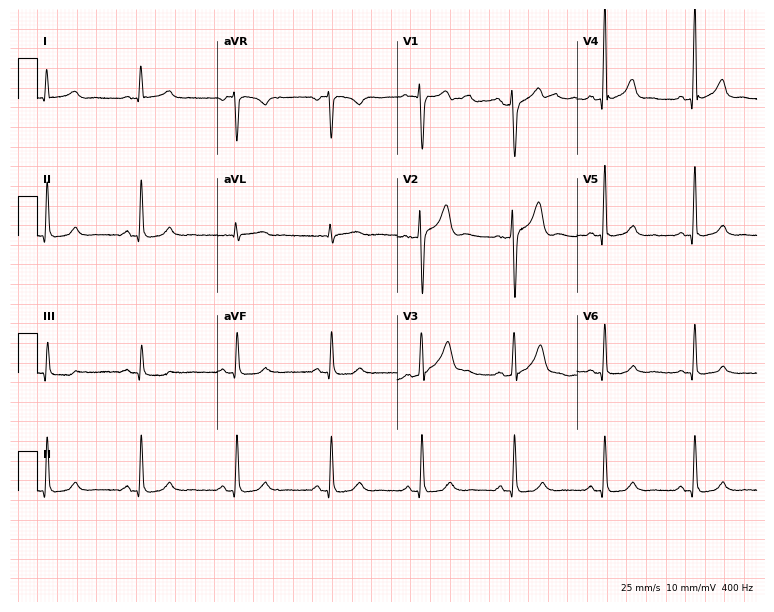
ECG — a man, 40 years old. Labelled as a normal ECG.